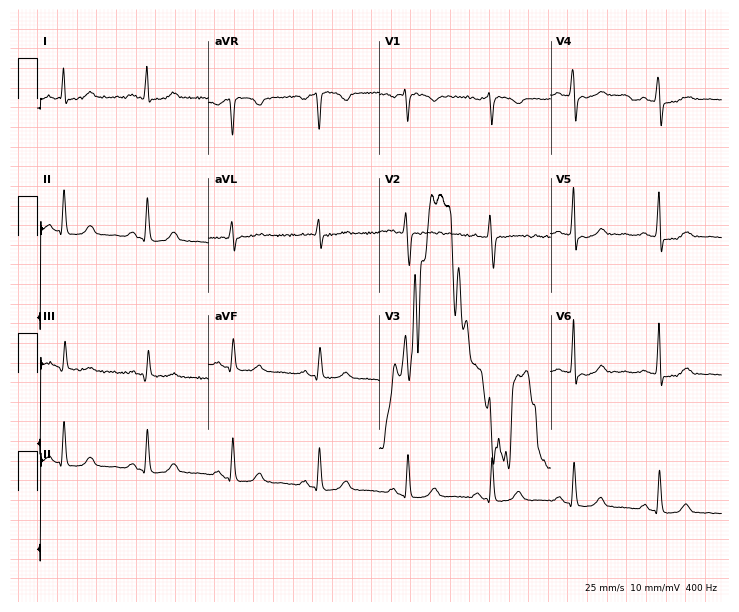
12-lead ECG from a 64-year-old female (7-second recording at 400 Hz). No first-degree AV block, right bundle branch block, left bundle branch block, sinus bradycardia, atrial fibrillation or sinus tachycardia recorded for this tracing. Other findings, if any, are not listed.